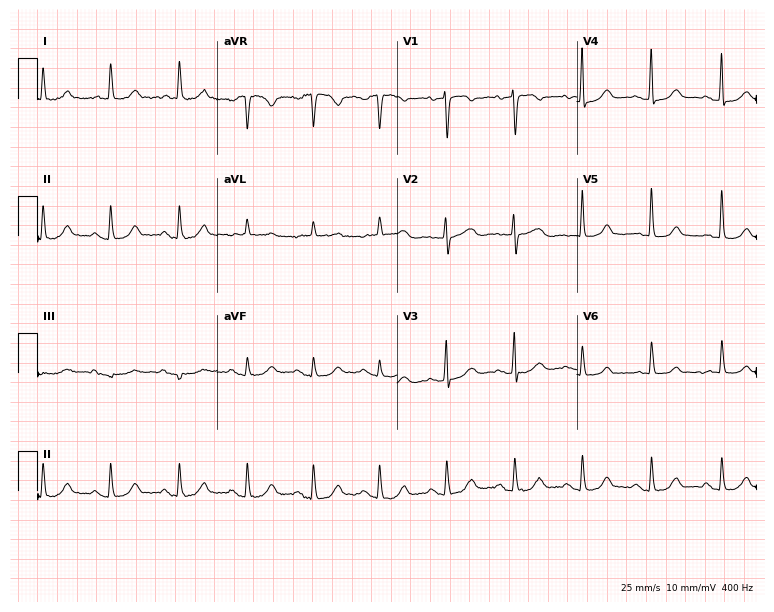
ECG — a 78-year-old female. Screened for six findings — first-degree AV block, right bundle branch block, left bundle branch block, sinus bradycardia, atrial fibrillation, sinus tachycardia — none is recorded. Findings outside these six are not listed.